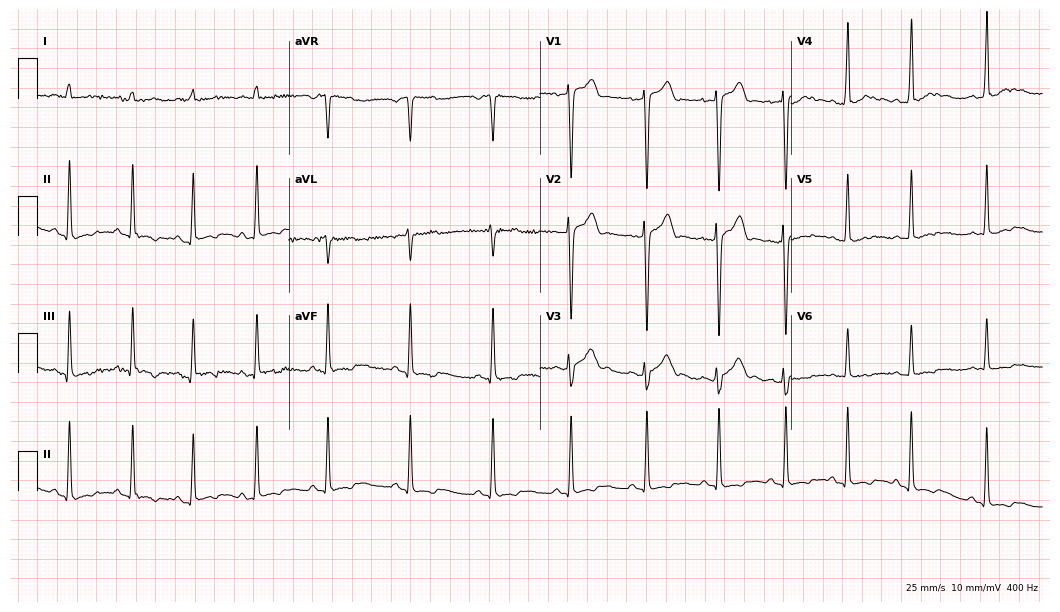
Resting 12-lead electrocardiogram (10.2-second recording at 400 Hz). Patient: a 17-year-old man. None of these six findings is recorded: first-degree AV block, right bundle branch block, left bundle branch block, sinus bradycardia, atrial fibrillation, sinus tachycardia.